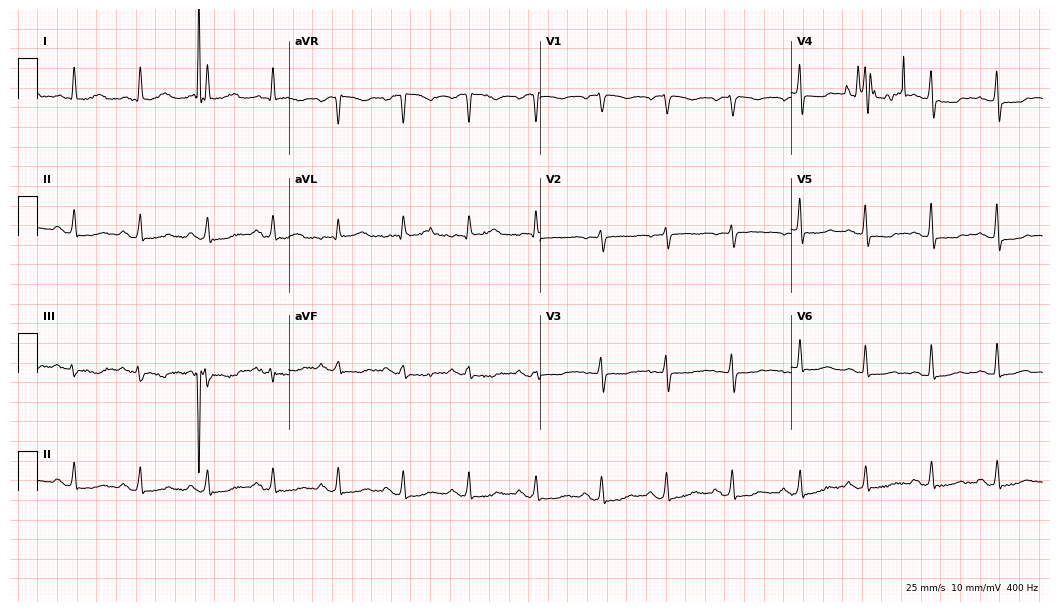
Resting 12-lead electrocardiogram (10.2-second recording at 400 Hz). Patient: a 72-year-old female. None of these six findings is recorded: first-degree AV block, right bundle branch block, left bundle branch block, sinus bradycardia, atrial fibrillation, sinus tachycardia.